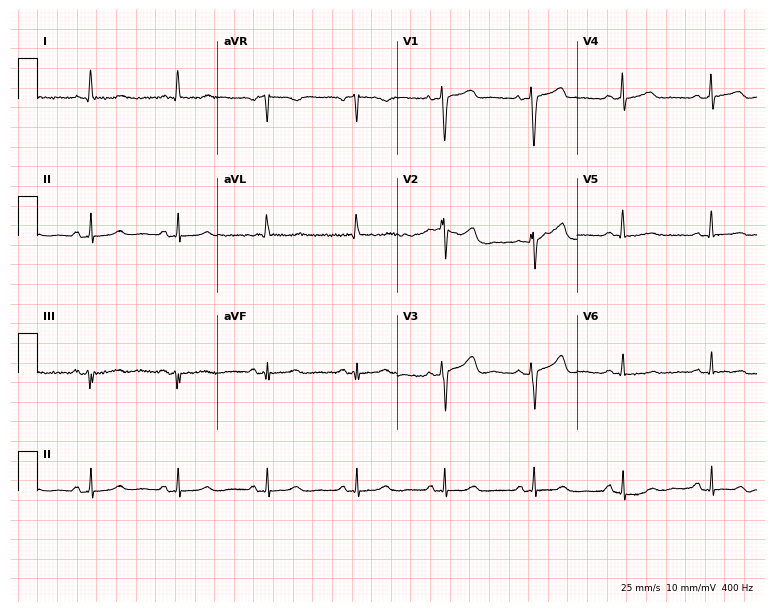
Standard 12-lead ECG recorded from a 59-year-old female. None of these six findings is recorded: first-degree AV block, right bundle branch block, left bundle branch block, sinus bradycardia, atrial fibrillation, sinus tachycardia.